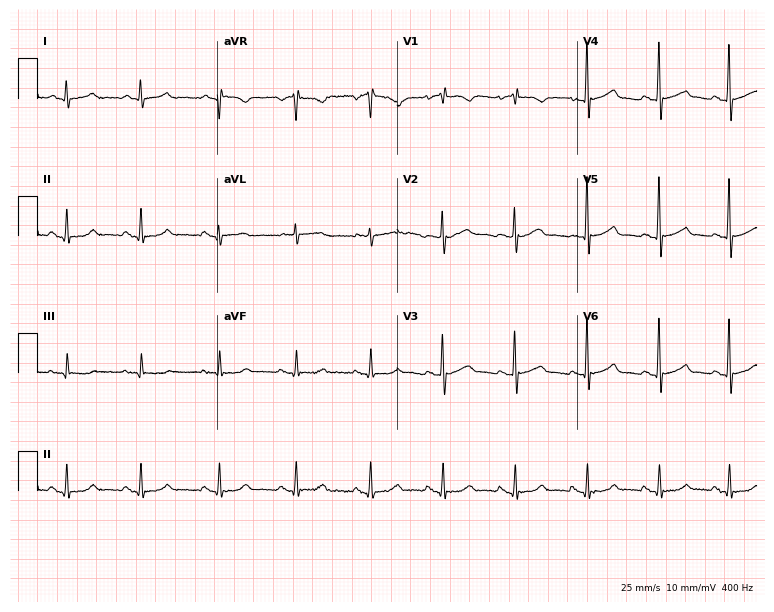
12-lead ECG from a woman, 60 years old. Labelled as a normal ECG.